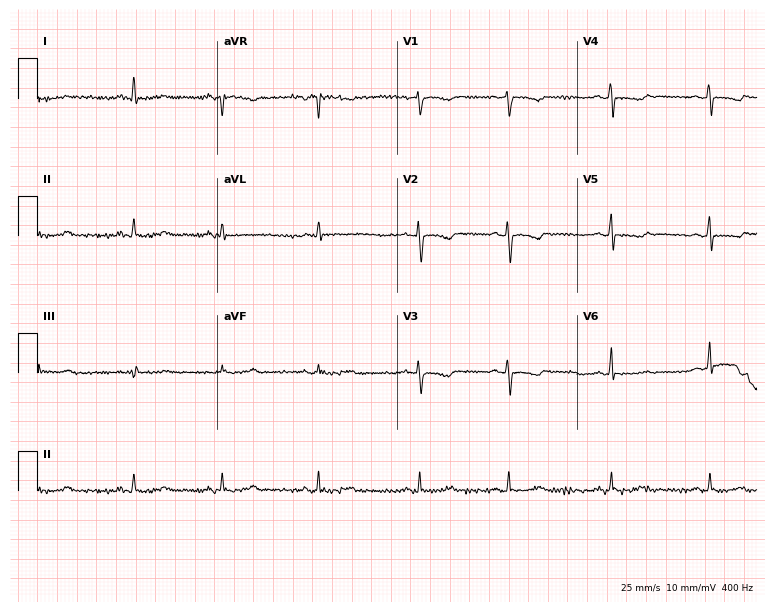
Electrocardiogram, a 60-year-old female. Of the six screened findings (first-degree AV block, right bundle branch block, left bundle branch block, sinus bradycardia, atrial fibrillation, sinus tachycardia), none is recorded. Other findings, if any, are not listed.